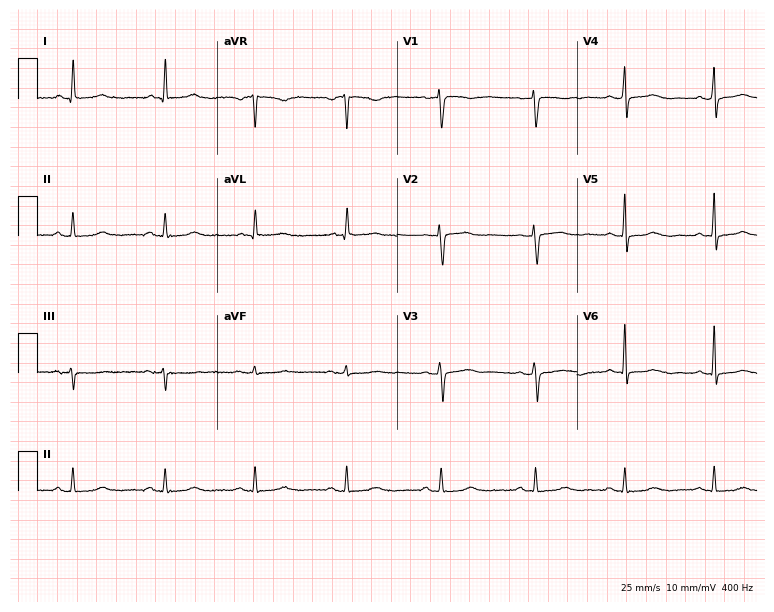
ECG (7.3-second recording at 400 Hz) — a woman, 60 years old. Labelled as a normal ECG.